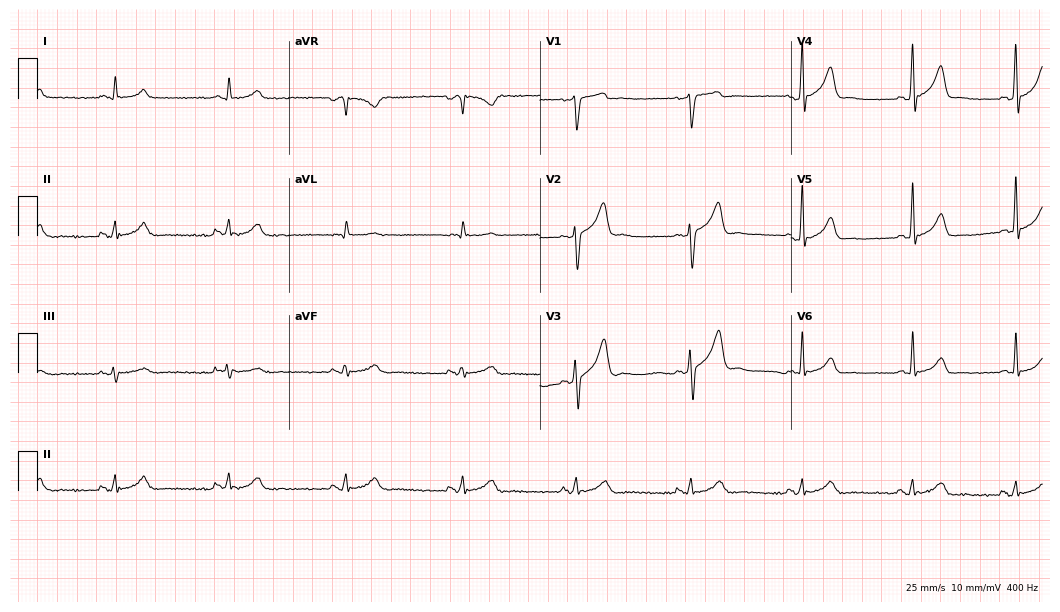
Electrocardiogram, a man, 60 years old. Overall reading on record: normal ECG.